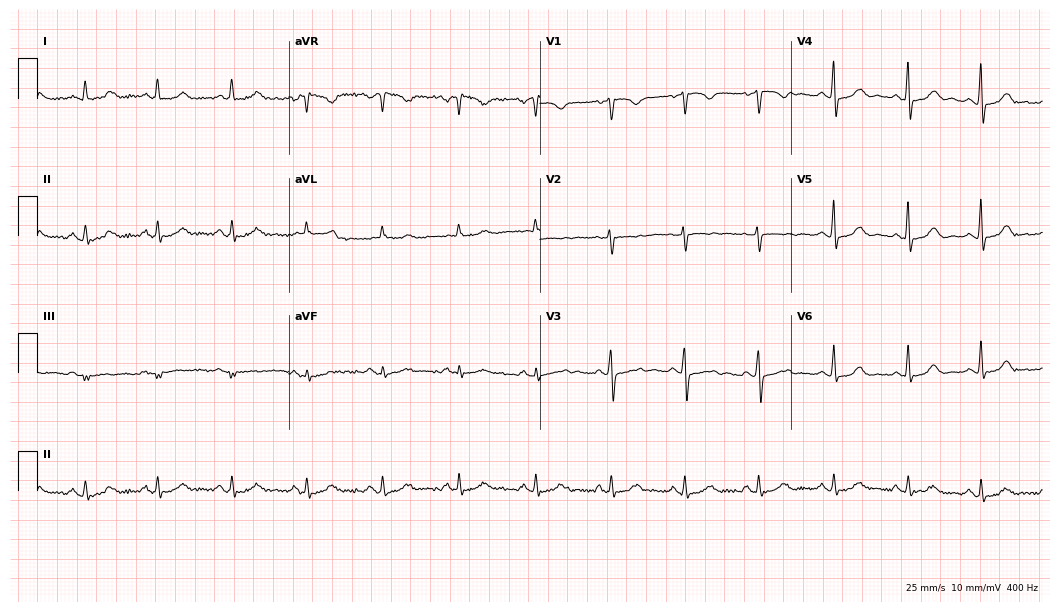
Electrocardiogram, a 37-year-old woman. Of the six screened findings (first-degree AV block, right bundle branch block (RBBB), left bundle branch block (LBBB), sinus bradycardia, atrial fibrillation (AF), sinus tachycardia), none is recorded. Only these six findings were labelled.